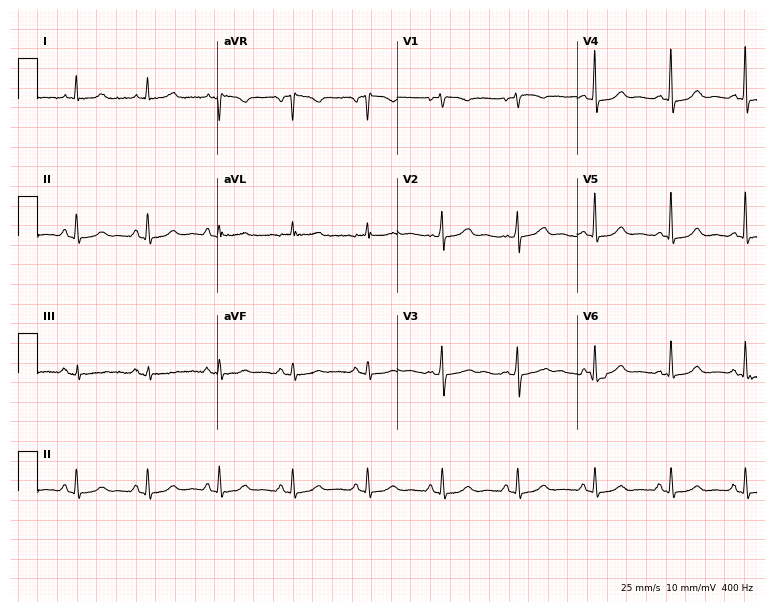
12-lead ECG from a 44-year-old female (7.3-second recording at 400 Hz). No first-degree AV block, right bundle branch block, left bundle branch block, sinus bradycardia, atrial fibrillation or sinus tachycardia recorded for this tracing. Other findings, if any, are not listed.